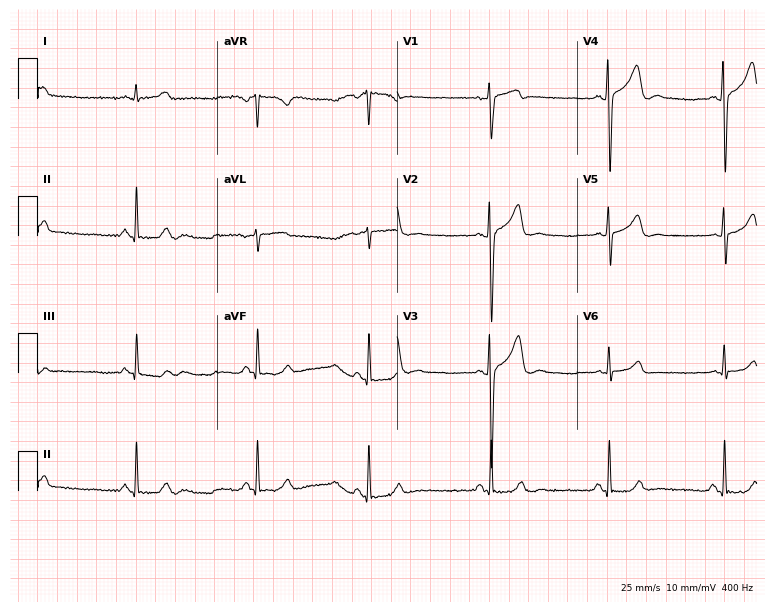
ECG (7.3-second recording at 400 Hz) — a male patient, 33 years old. Findings include sinus bradycardia (a sinus rate of 50 beats per minute or less).